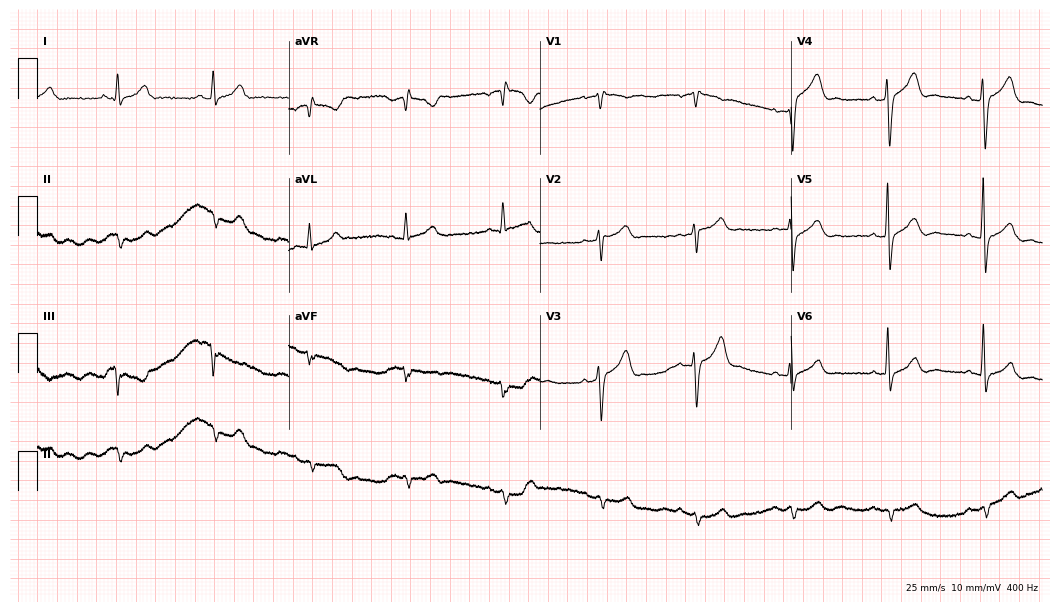
ECG (10.2-second recording at 400 Hz) — a 66-year-old man. Screened for six findings — first-degree AV block, right bundle branch block, left bundle branch block, sinus bradycardia, atrial fibrillation, sinus tachycardia — none is recorded. Findings outside these six are not listed.